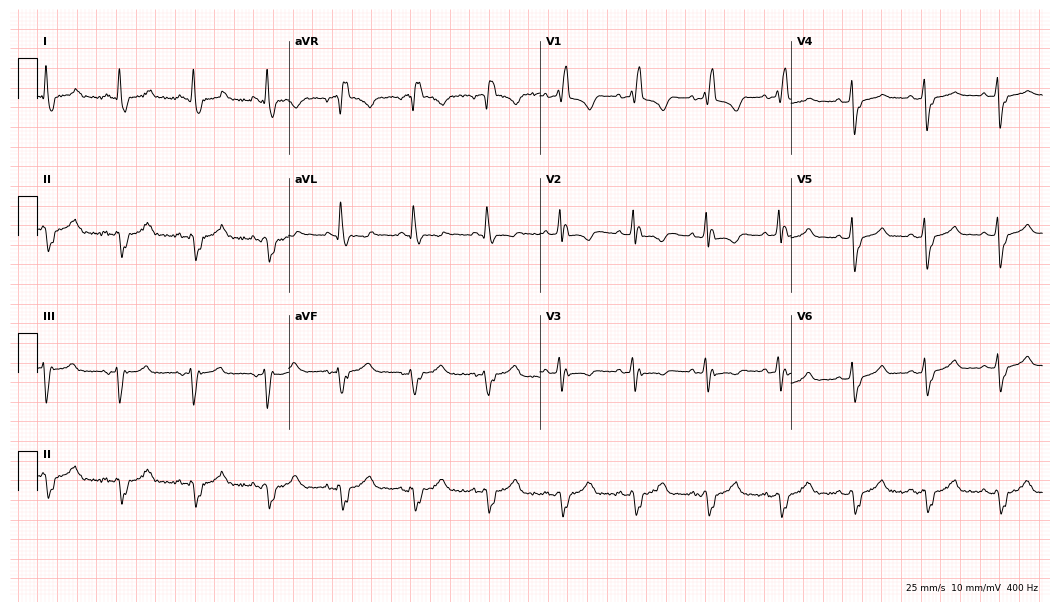
Electrocardiogram, a 66-year-old female. Interpretation includes right bundle branch block.